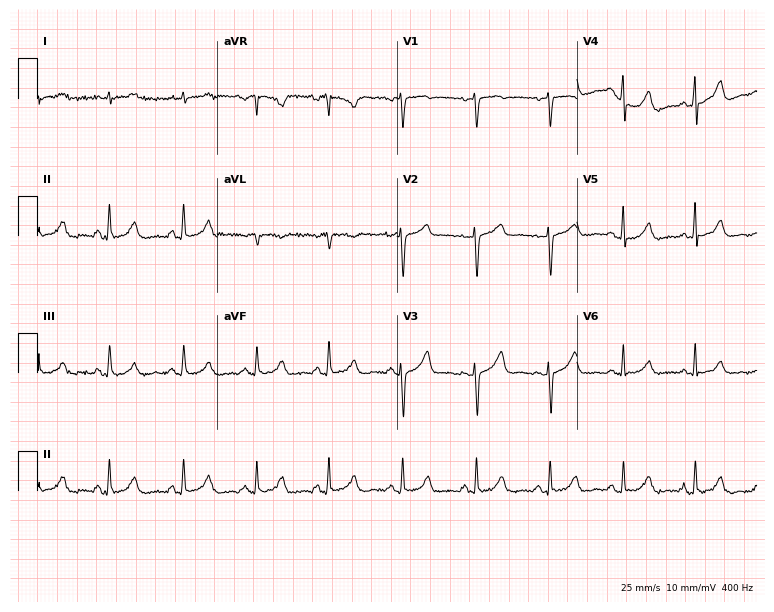
Electrocardiogram, a 47-year-old woman. Overall reading on record: normal ECG.